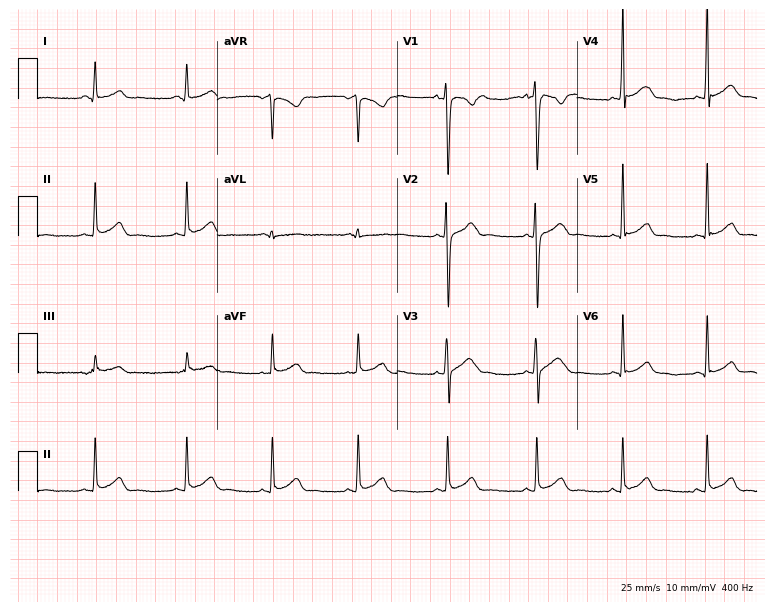
Resting 12-lead electrocardiogram (7.3-second recording at 400 Hz). Patient: a 31-year-old man. None of these six findings is recorded: first-degree AV block, right bundle branch block, left bundle branch block, sinus bradycardia, atrial fibrillation, sinus tachycardia.